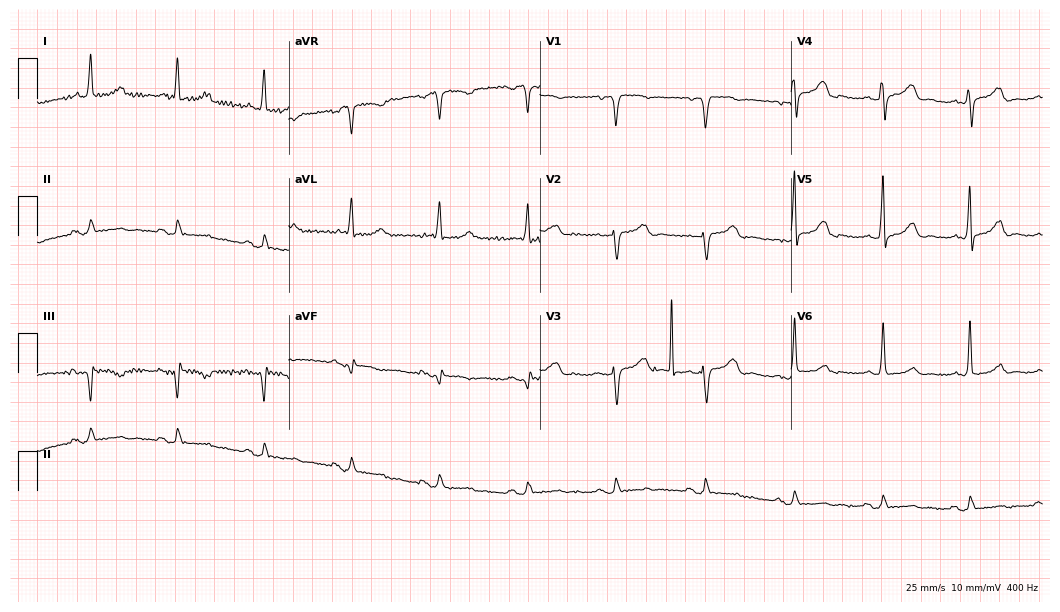
Electrocardiogram, a woman, 65 years old. Of the six screened findings (first-degree AV block, right bundle branch block (RBBB), left bundle branch block (LBBB), sinus bradycardia, atrial fibrillation (AF), sinus tachycardia), none is recorded. Other findings, if any, are not listed.